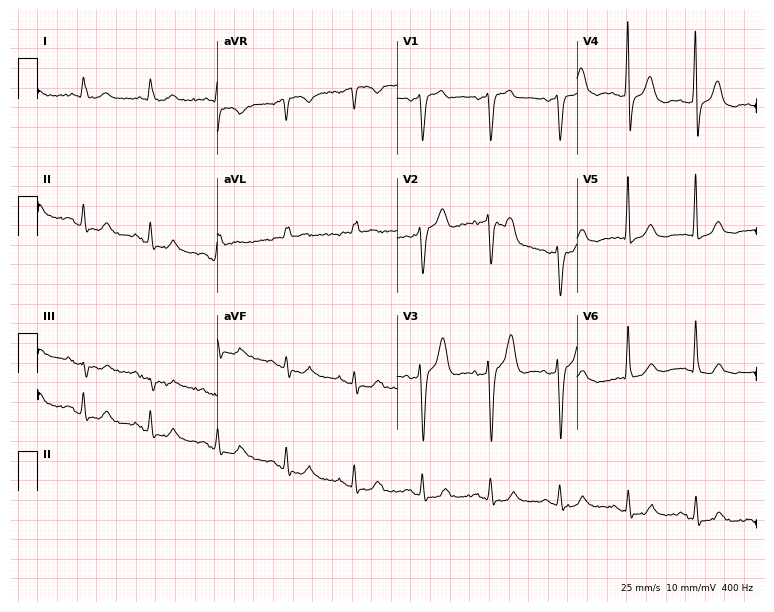
Electrocardiogram, a 76-year-old male patient. Of the six screened findings (first-degree AV block, right bundle branch block, left bundle branch block, sinus bradycardia, atrial fibrillation, sinus tachycardia), none is recorded. Only these six findings were labelled.